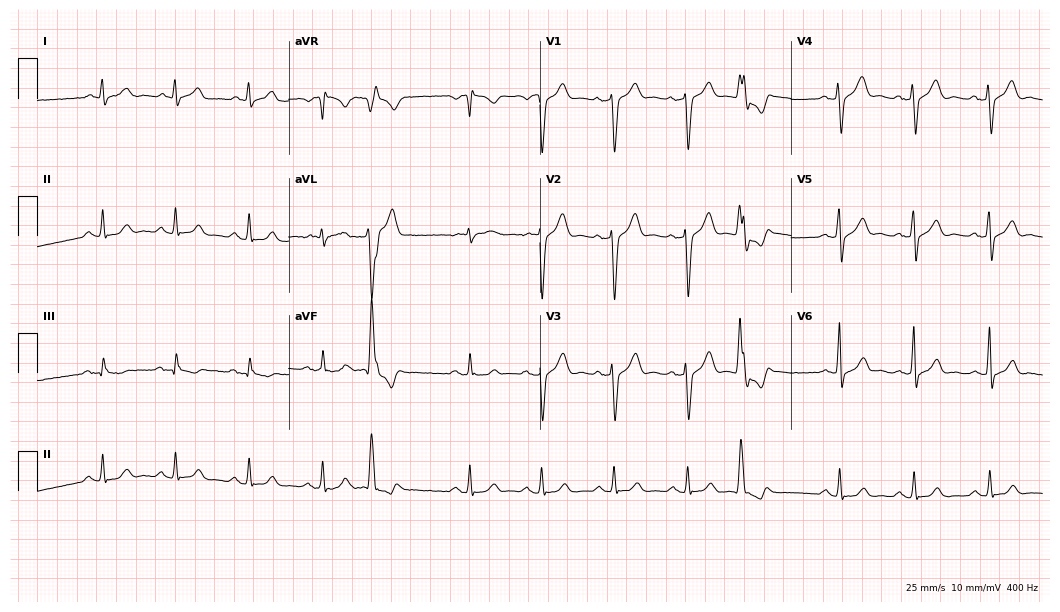
ECG (10.2-second recording at 400 Hz) — a male patient, 35 years old. Screened for six findings — first-degree AV block, right bundle branch block, left bundle branch block, sinus bradycardia, atrial fibrillation, sinus tachycardia — none is recorded.